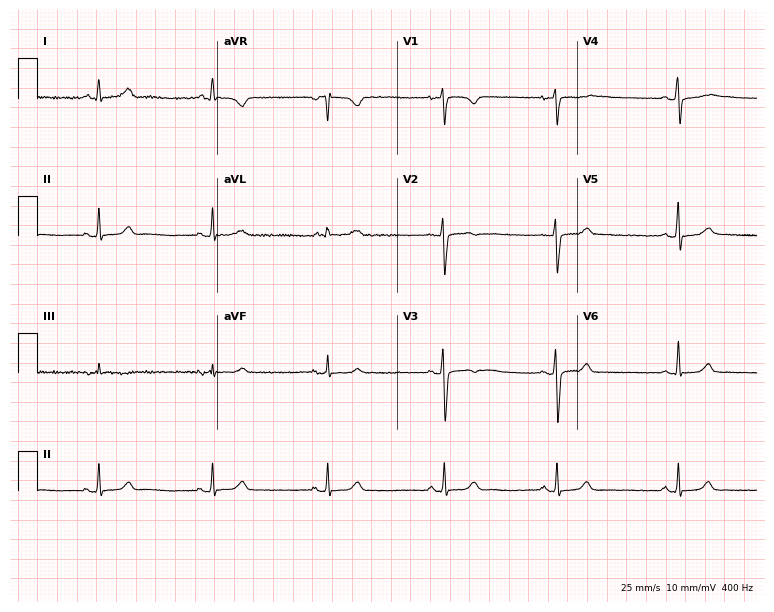
Electrocardiogram, a female, 30 years old. Of the six screened findings (first-degree AV block, right bundle branch block, left bundle branch block, sinus bradycardia, atrial fibrillation, sinus tachycardia), none is recorded.